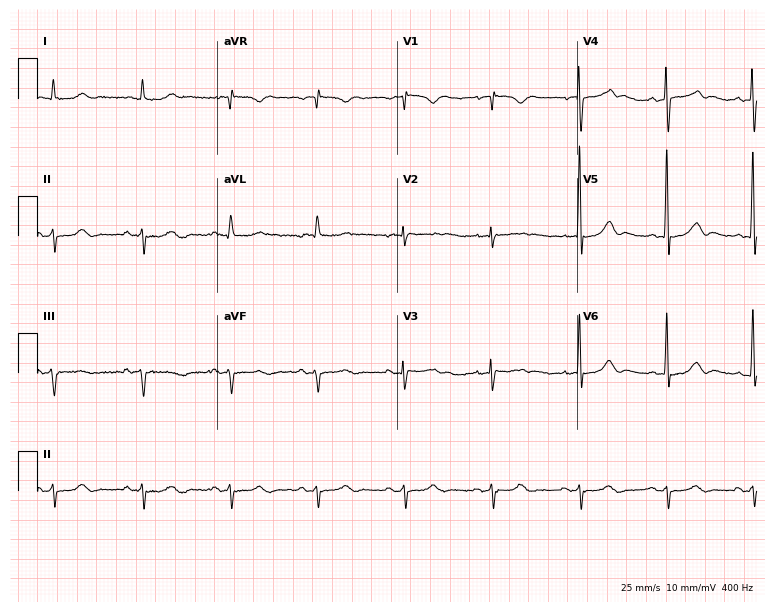
12-lead ECG from a man, 82 years old. No first-degree AV block, right bundle branch block, left bundle branch block, sinus bradycardia, atrial fibrillation or sinus tachycardia recorded for this tracing. Other findings, if any, are not listed.